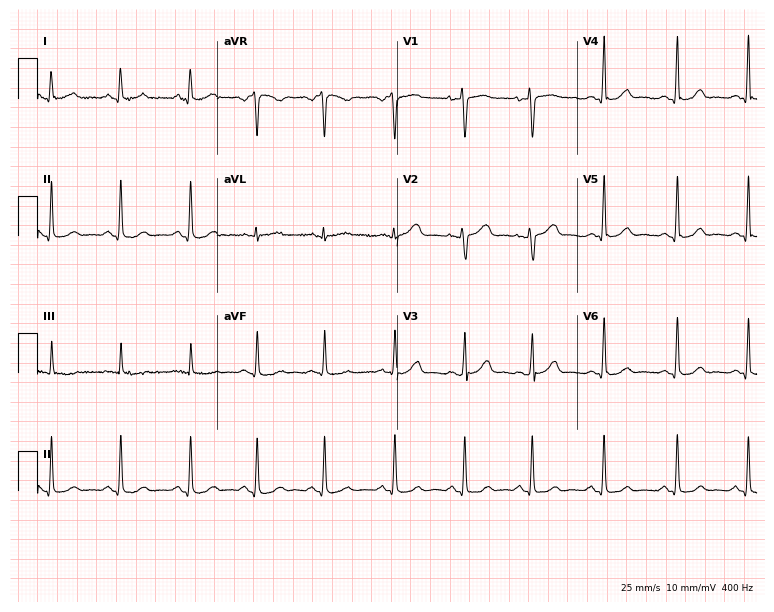
12-lead ECG from a 36-year-old woman. Labelled as a normal ECG.